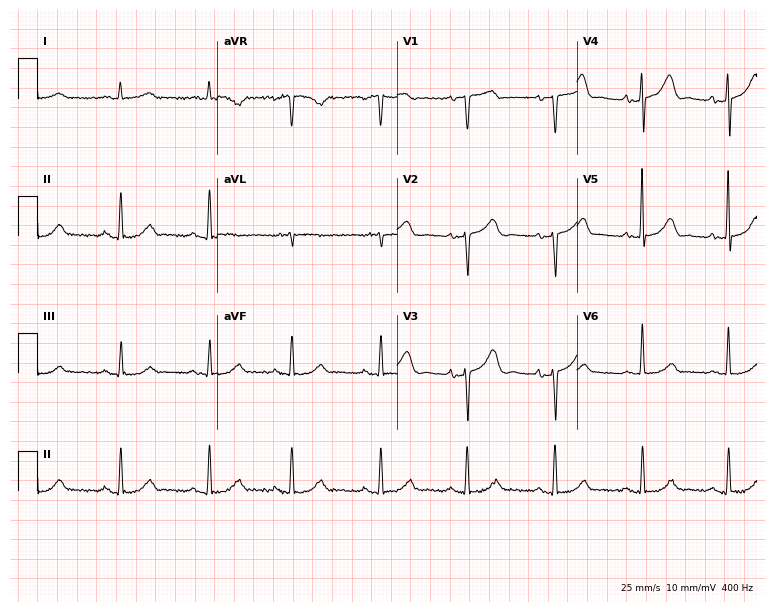
12-lead ECG from an 81-year-old woman (7.3-second recording at 400 Hz). Recorded interpretation: within normal limits.